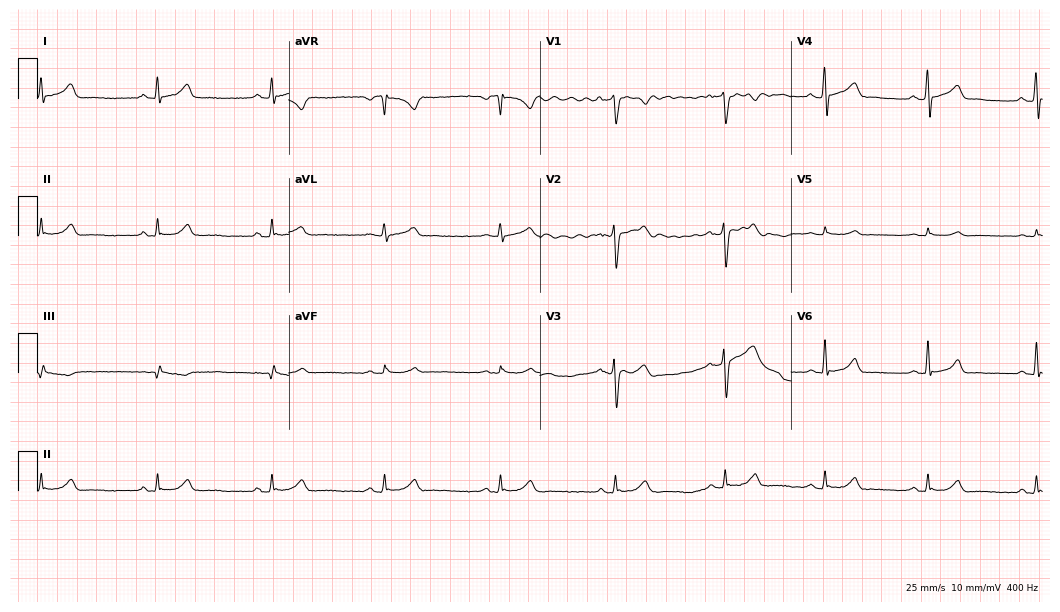
Resting 12-lead electrocardiogram. Patient: a 37-year-old male. Read as a normal ECG.